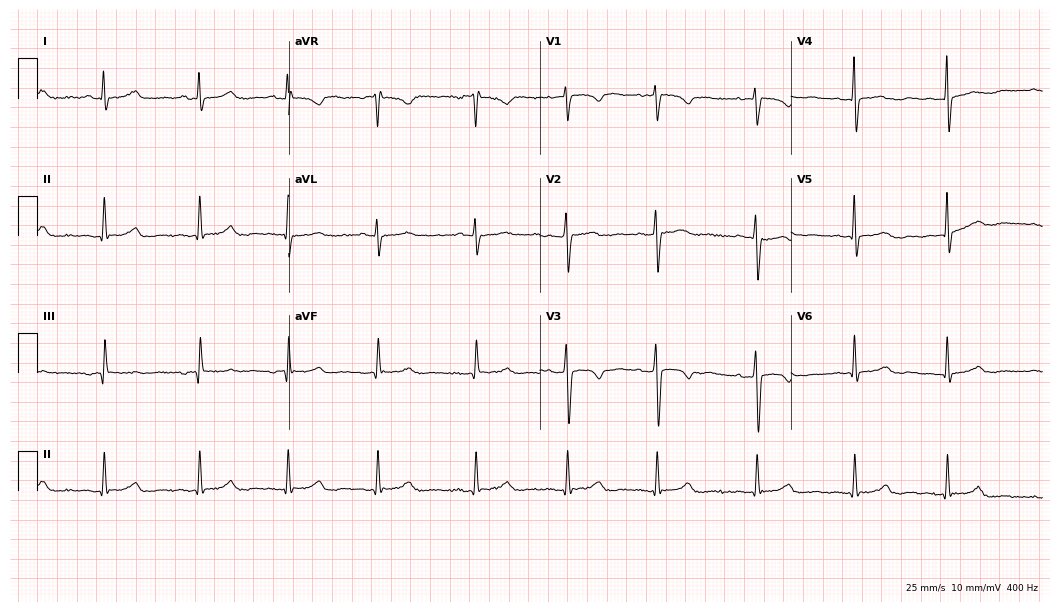
Standard 12-lead ECG recorded from a woman, 37 years old. Read as a normal ECG.